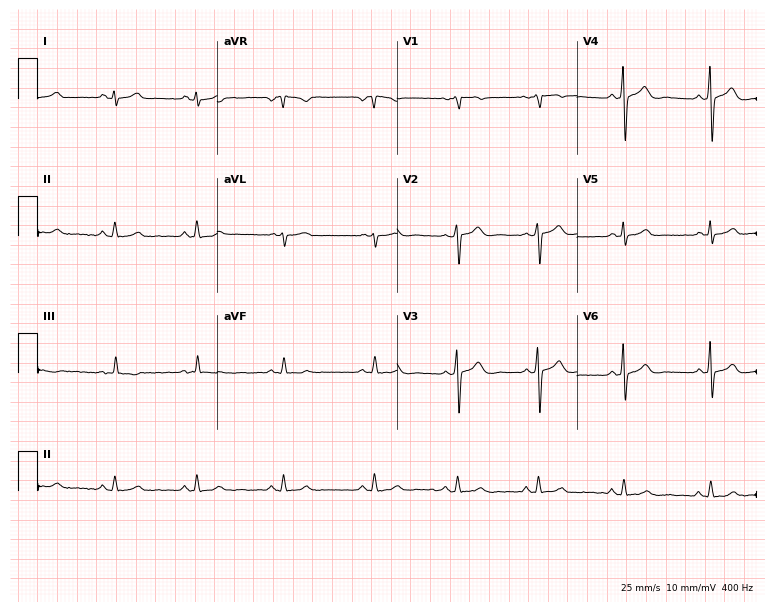
12-lead ECG from a 43-year-old female patient. No first-degree AV block, right bundle branch block, left bundle branch block, sinus bradycardia, atrial fibrillation or sinus tachycardia recorded for this tracing.